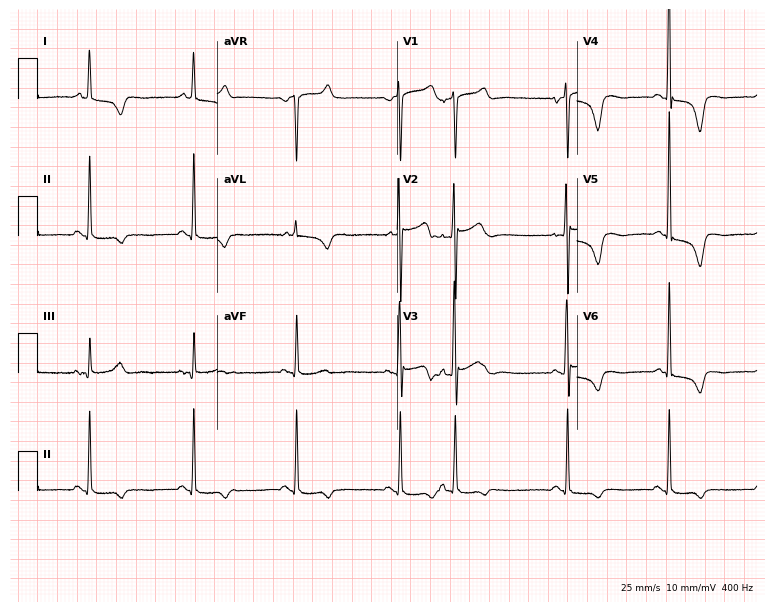
12-lead ECG from a 66-year-old male patient. No first-degree AV block, right bundle branch block, left bundle branch block, sinus bradycardia, atrial fibrillation or sinus tachycardia recorded for this tracing. Findings outside these six are not listed.